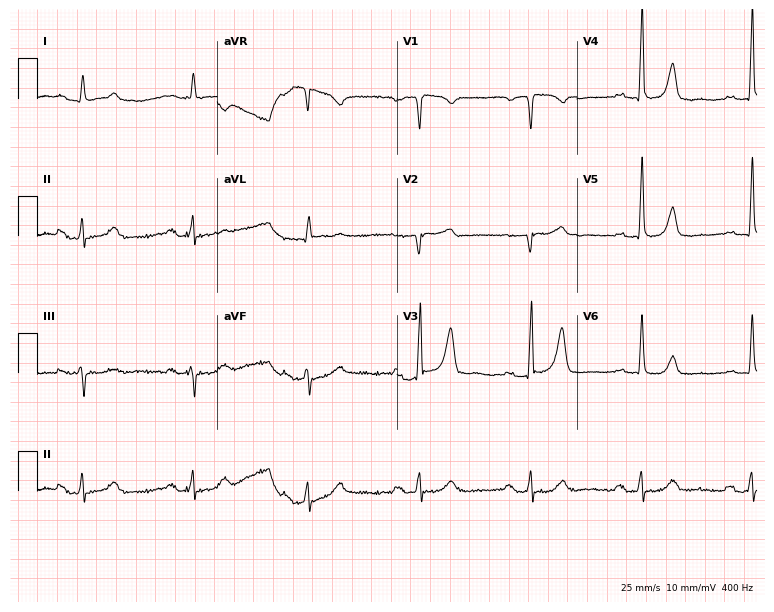
12-lead ECG (7.3-second recording at 400 Hz) from a male, 72 years old. Screened for six findings — first-degree AV block, right bundle branch block, left bundle branch block, sinus bradycardia, atrial fibrillation, sinus tachycardia — none is recorded.